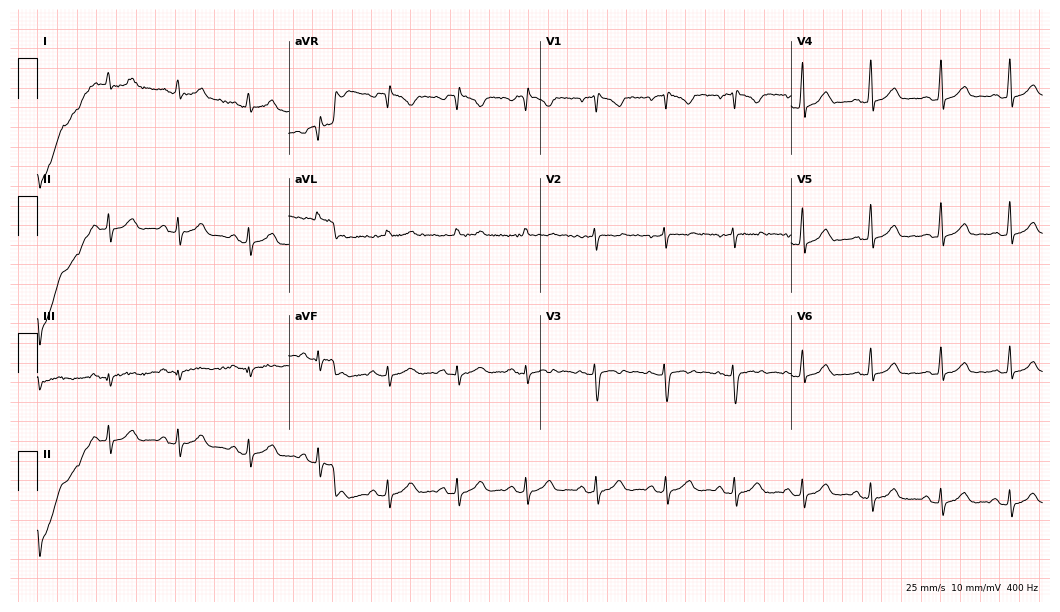
Electrocardiogram, a 40-year-old female. Of the six screened findings (first-degree AV block, right bundle branch block (RBBB), left bundle branch block (LBBB), sinus bradycardia, atrial fibrillation (AF), sinus tachycardia), none is recorded. Only these six findings were labelled.